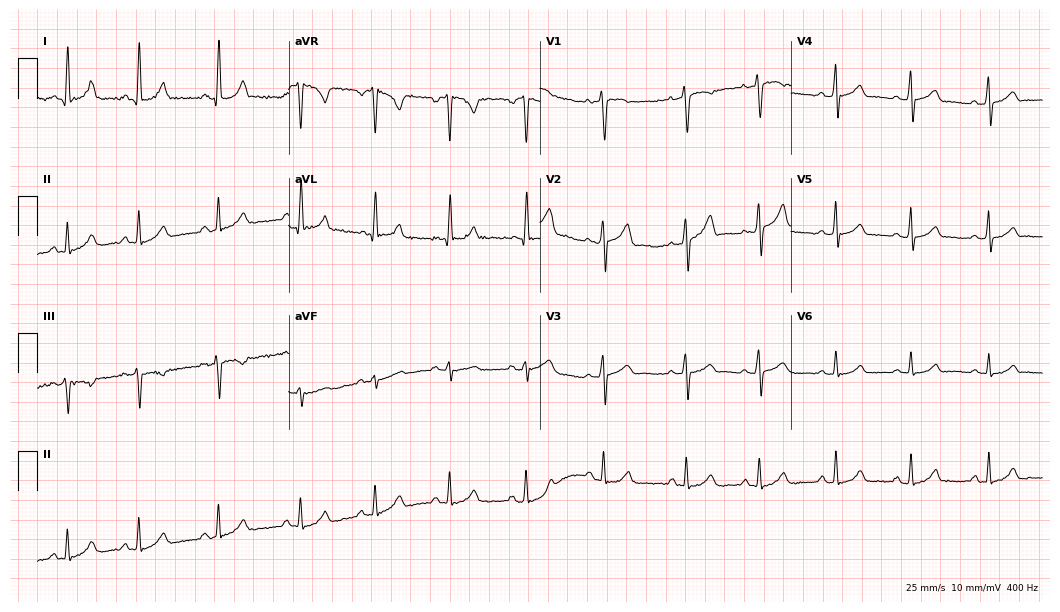
12-lead ECG from a male patient, 20 years old (10.2-second recording at 400 Hz). Recorded interpretation: within normal limits.